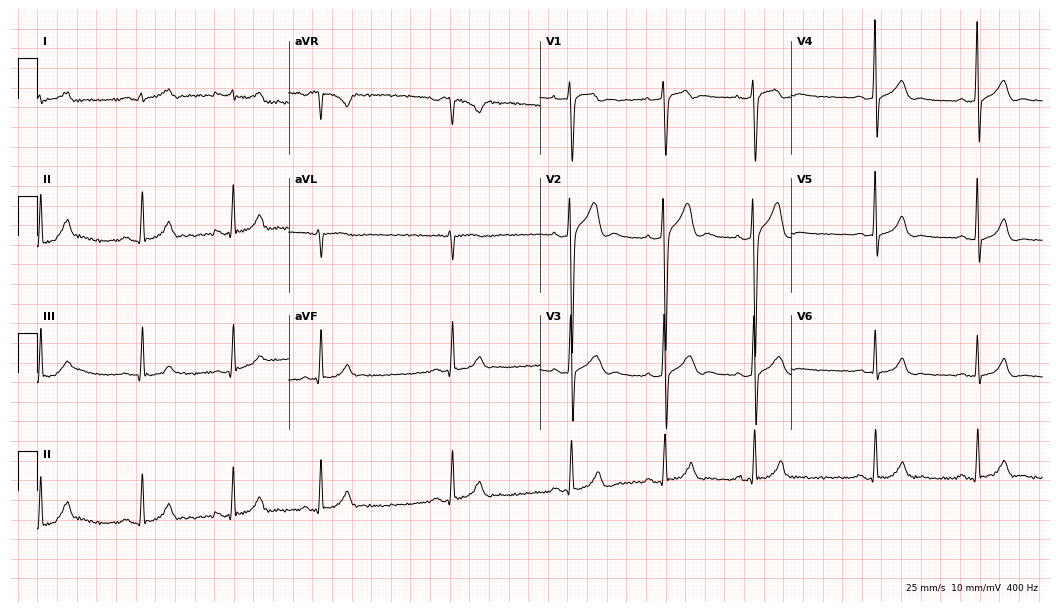
Resting 12-lead electrocardiogram. Patient: a man, 24 years old. Read as a normal ECG.